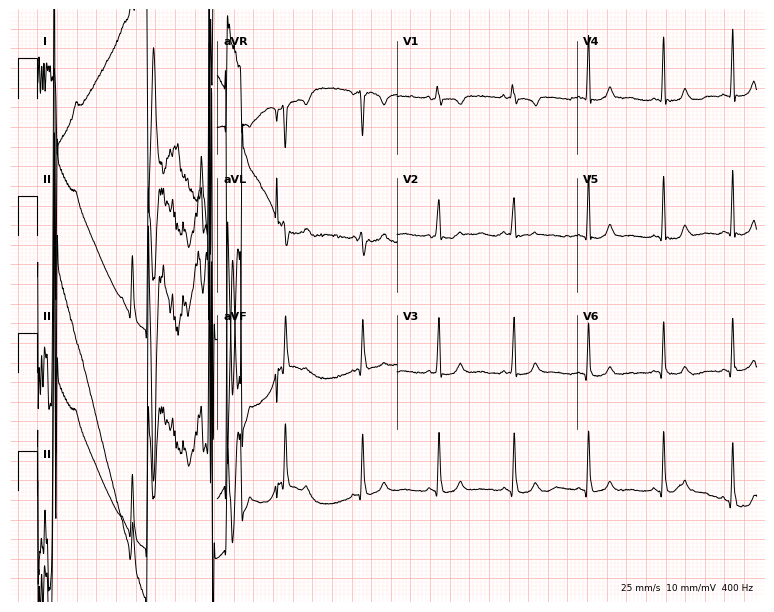
ECG — a woman, 35 years old. Screened for six findings — first-degree AV block, right bundle branch block (RBBB), left bundle branch block (LBBB), sinus bradycardia, atrial fibrillation (AF), sinus tachycardia — none is recorded. Only these six findings were labelled.